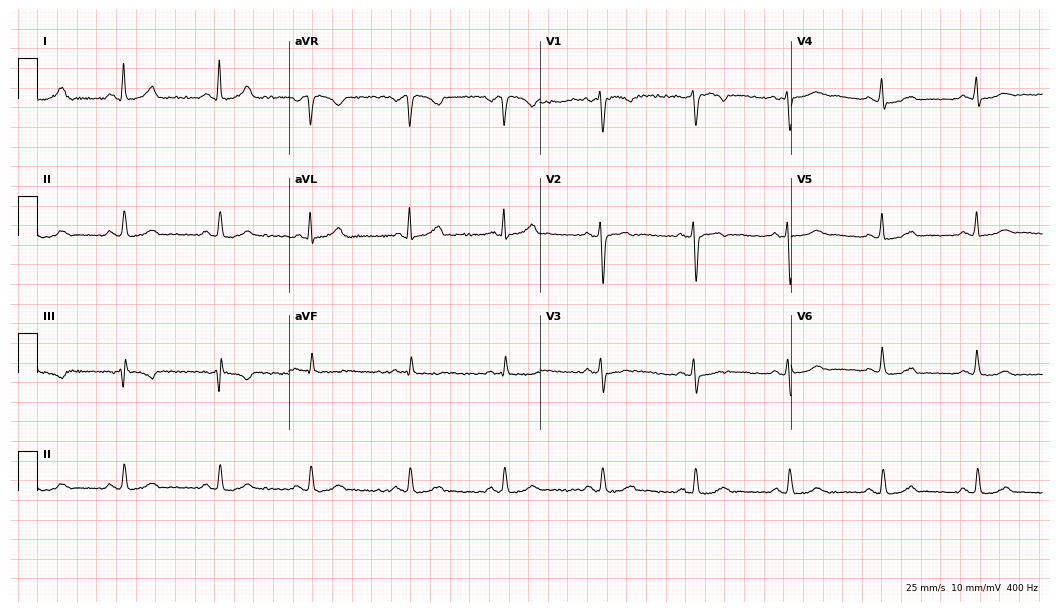
Electrocardiogram (10.2-second recording at 400 Hz), a 37-year-old female. Overall reading on record: normal ECG.